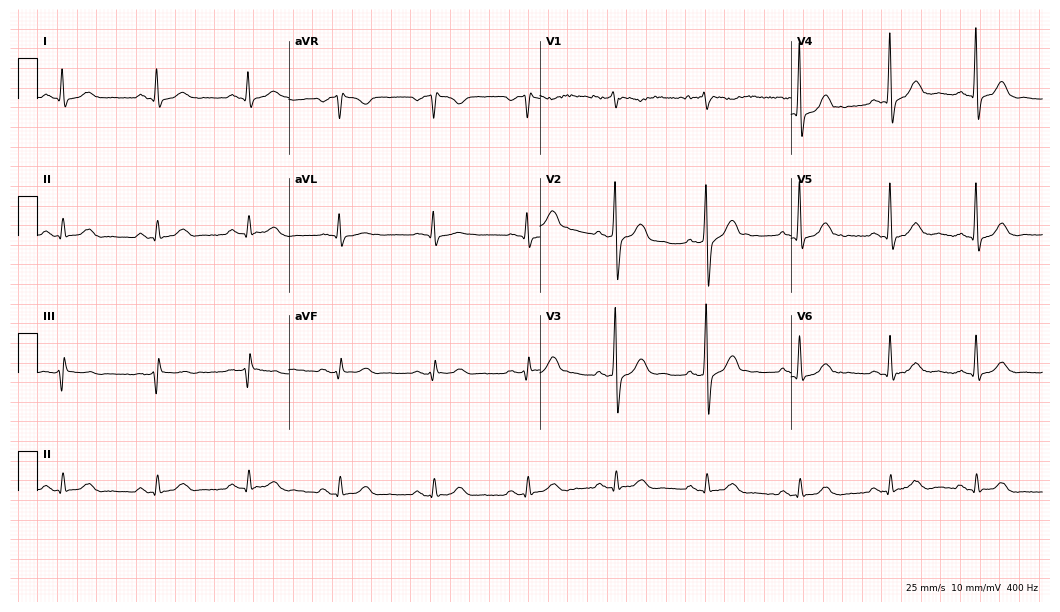
ECG — a 58-year-old man. Screened for six findings — first-degree AV block, right bundle branch block (RBBB), left bundle branch block (LBBB), sinus bradycardia, atrial fibrillation (AF), sinus tachycardia — none is recorded. Findings outside these six are not listed.